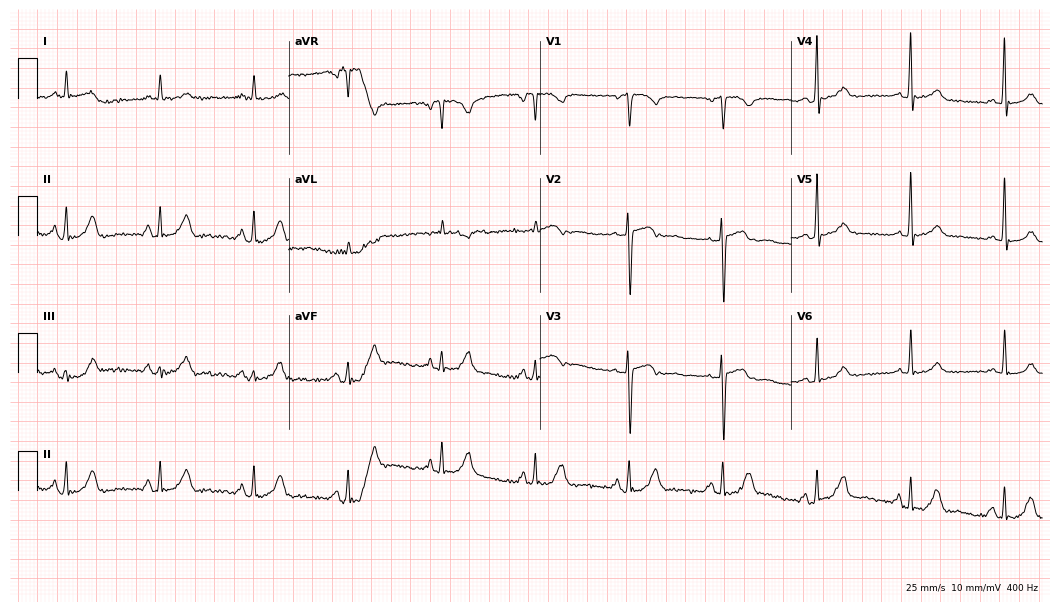
ECG — a 75-year-old man. Screened for six findings — first-degree AV block, right bundle branch block, left bundle branch block, sinus bradycardia, atrial fibrillation, sinus tachycardia — none is recorded.